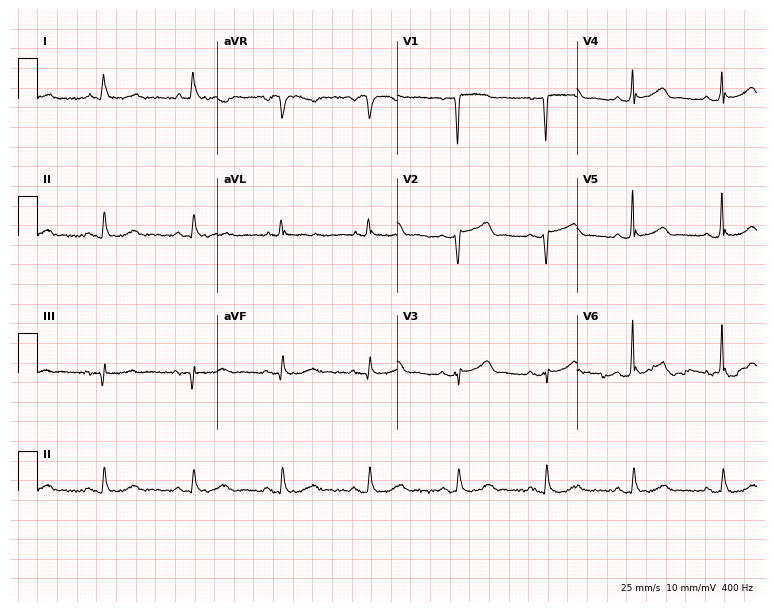
12-lead ECG from a 49-year-old female (7.3-second recording at 400 Hz). Recorded interpretation: within normal limits.